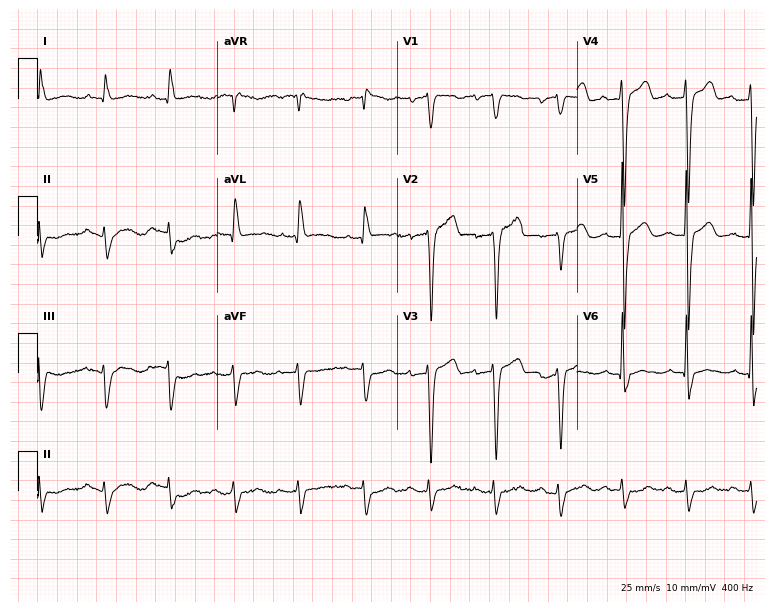
12-lead ECG from a male, 84 years old. No first-degree AV block, right bundle branch block, left bundle branch block, sinus bradycardia, atrial fibrillation or sinus tachycardia recorded for this tracing.